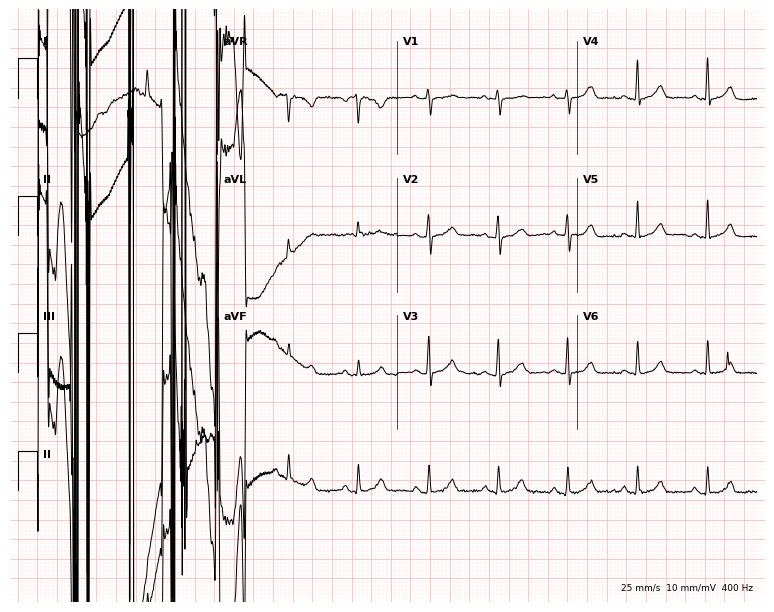
Electrocardiogram, a 43-year-old female. Of the six screened findings (first-degree AV block, right bundle branch block, left bundle branch block, sinus bradycardia, atrial fibrillation, sinus tachycardia), none is recorded.